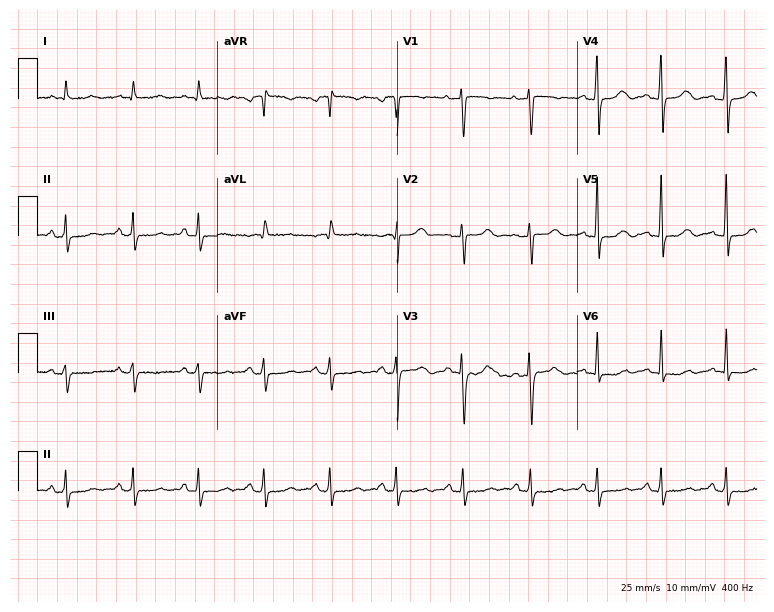
Electrocardiogram, a female patient, 63 years old. Of the six screened findings (first-degree AV block, right bundle branch block, left bundle branch block, sinus bradycardia, atrial fibrillation, sinus tachycardia), none is recorded. Only these six findings were labelled.